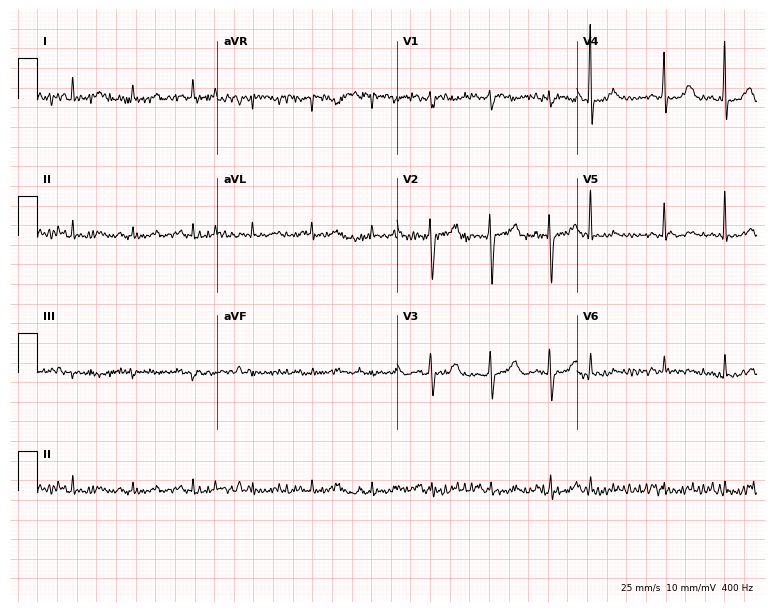
Electrocardiogram, a male patient, 70 years old. Of the six screened findings (first-degree AV block, right bundle branch block, left bundle branch block, sinus bradycardia, atrial fibrillation, sinus tachycardia), none is recorded. Other findings, if any, are not listed.